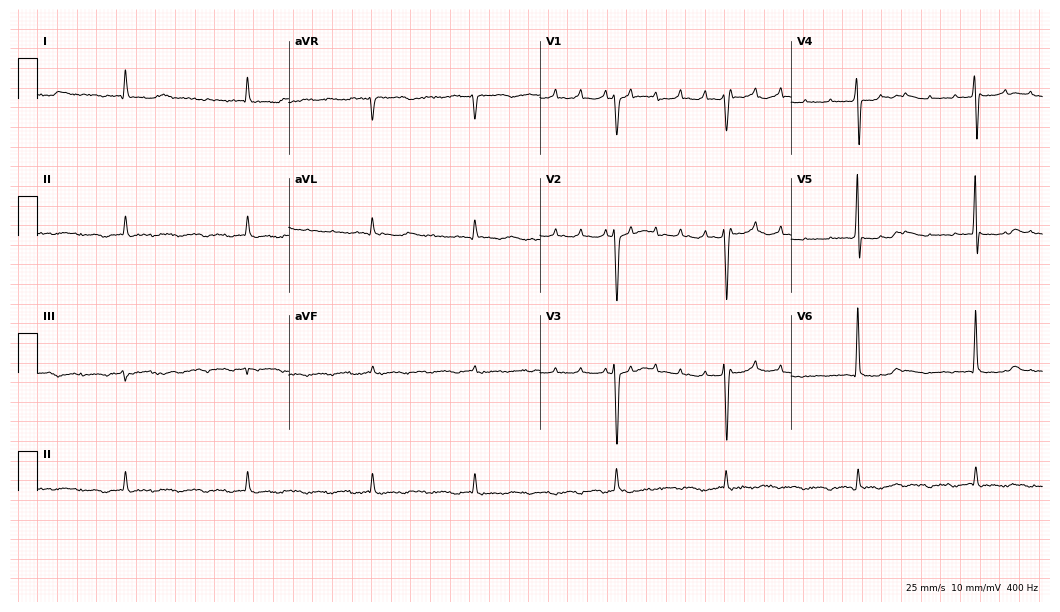
ECG (10.2-second recording at 400 Hz) — an 80-year-old man. Screened for six findings — first-degree AV block, right bundle branch block (RBBB), left bundle branch block (LBBB), sinus bradycardia, atrial fibrillation (AF), sinus tachycardia — none is recorded. Other findings, if any, are not listed.